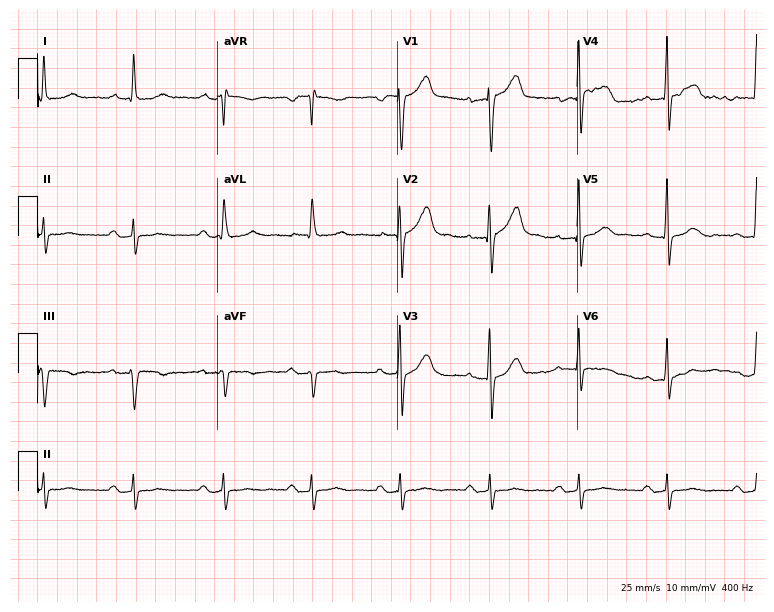
12-lead ECG from a 57-year-old male (7.3-second recording at 400 Hz). Shows first-degree AV block.